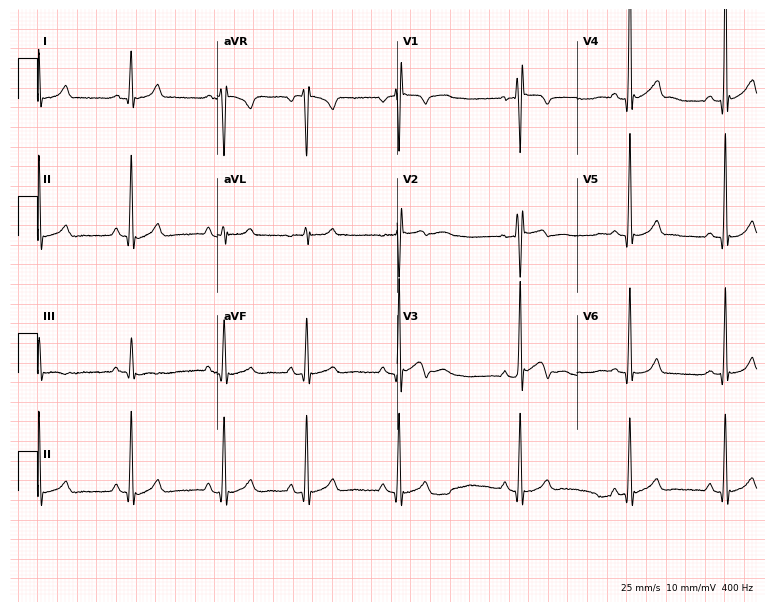
Resting 12-lead electrocardiogram (7.3-second recording at 400 Hz). Patient: a male, 18 years old. None of these six findings is recorded: first-degree AV block, right bundle branch block (RBBB), left bundle branch block (LBBB), sinus bradycardia, atrial fibrillation (AF), sinus tachycardia. Other findings, if any, are not listed.